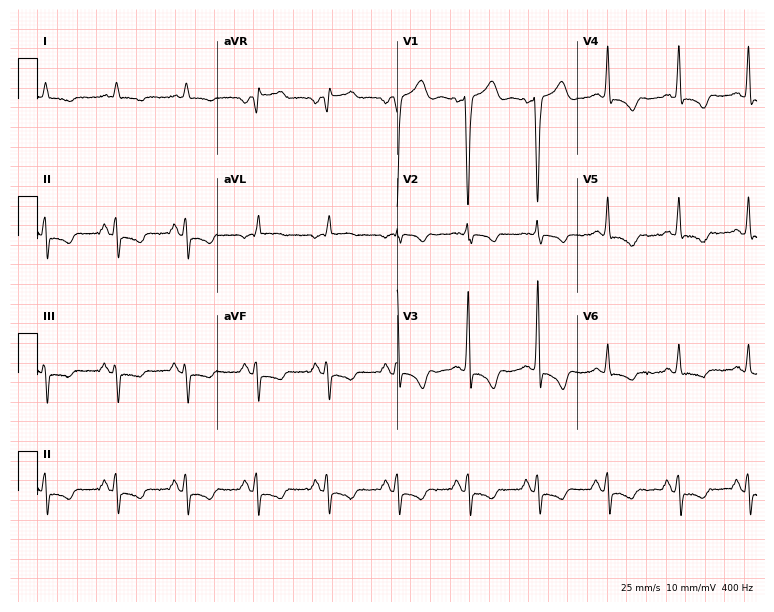
ECG — a female patient, 85 years old. Screened for six findings — first-degree AV block, right bundle branch block (RBBB), left bundle branch block (LBBB), sinus bradycardia, atrial fibrillation (AF), sinus tachycardia — none is recorded. Only these six findings were labelled.